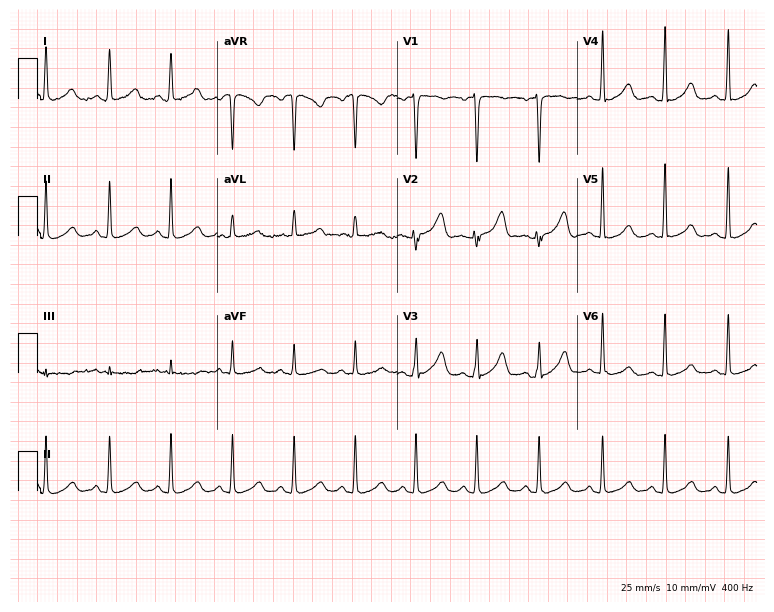
Standard 12-lead ECG recorded from a 46-year-old woman (7.3-second recording at 400 Hz). Read as a normal ECG.